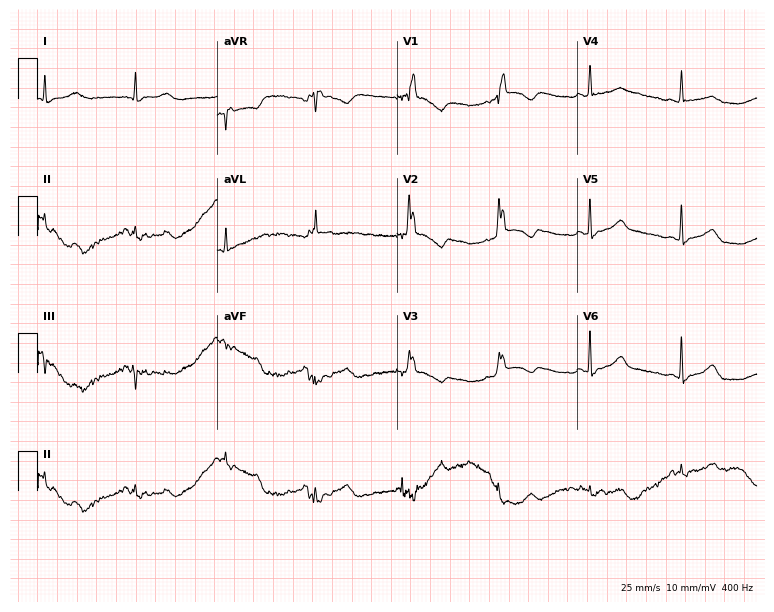
12-lead ECG (7.3-second recording at 400 Hz) from a female patient, 67 years old. Screened for six findings — first-degree AV block, right bundle branch block, left bundle branch block, sinus bradycardia, atrial fibrillation, sinus tachycardia — none is recorded.